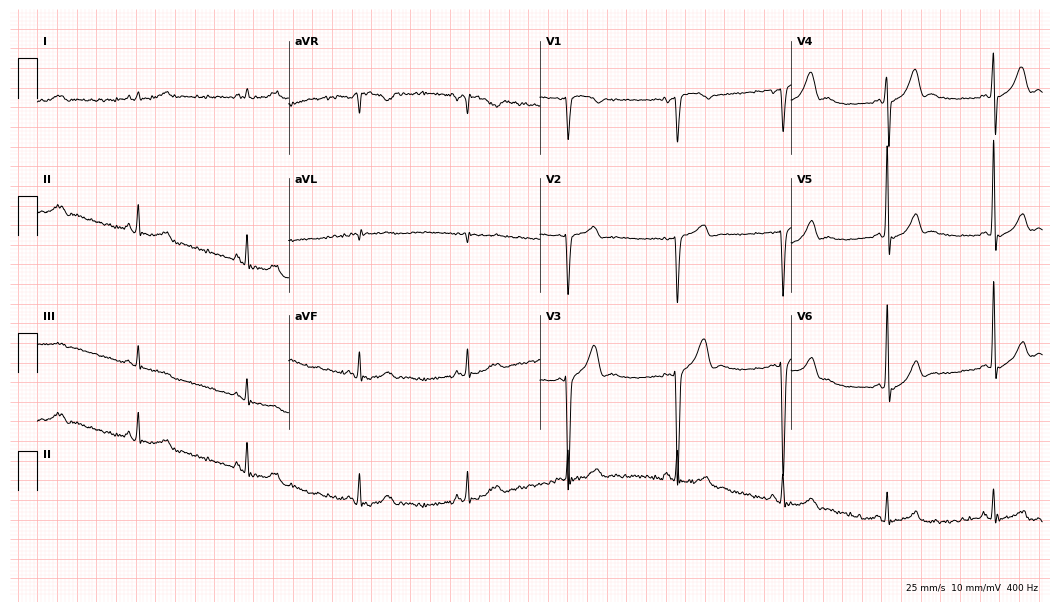
Resting 12-lead electrocardiogram. Patient: a 49-year-old man. None of these six findings is recorded: first-degree AV block, right bundle branch block, left bundle branch block, sinus bradycardia, atrial fibrillation, sinus tachycardia.